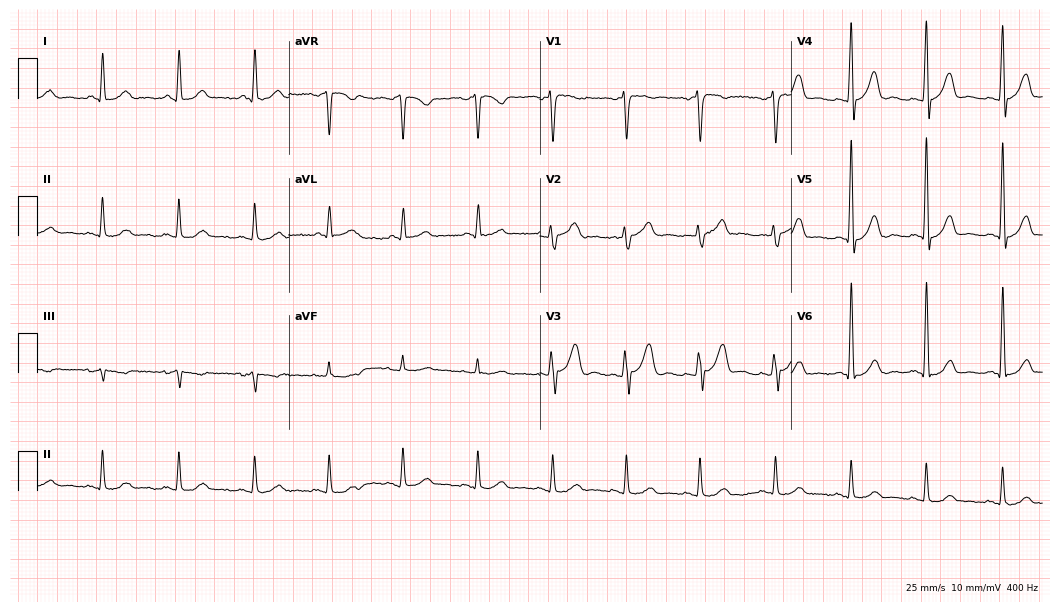
12-lead ECG from a male, 54 years old (10.2-second recording at 400 Hz). Recorded interpretation: within normal limits.